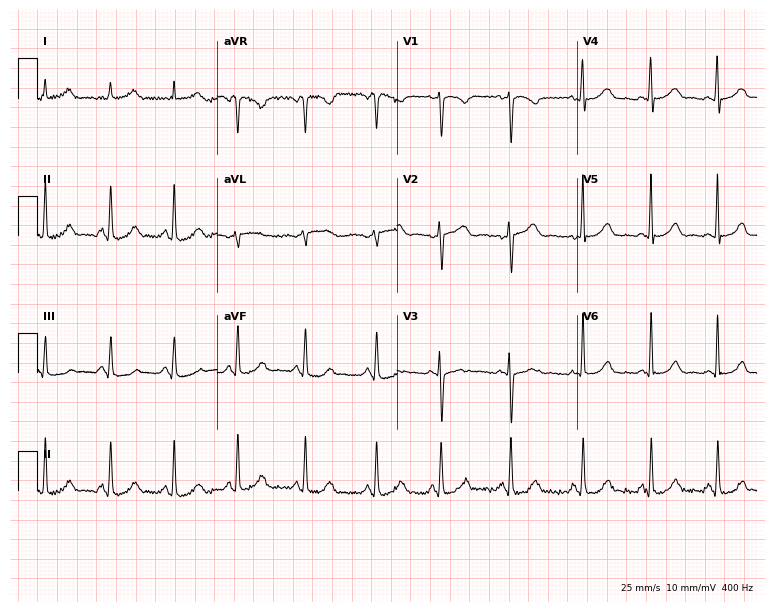
Resting 12-lead electrocardiogram. Patient: a 30-year-old female. Read as a normal ECG.